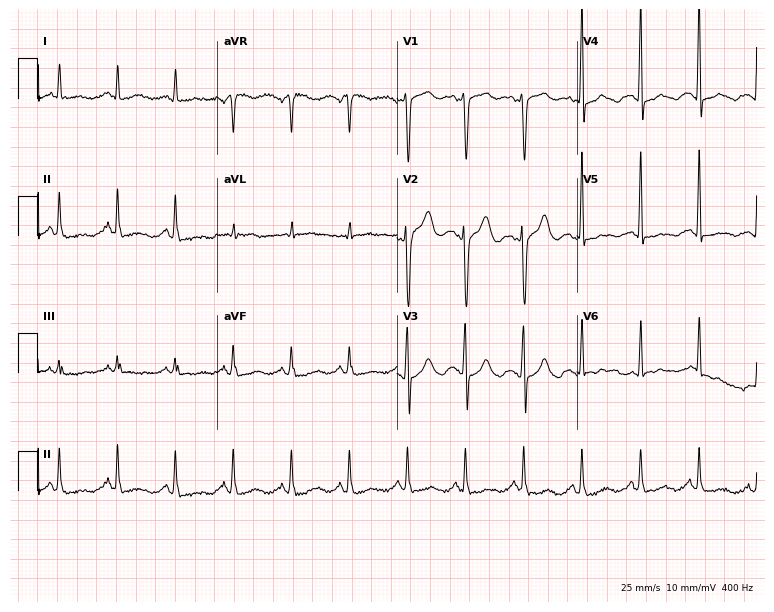
Electrocardiogram (7.3-second recording at 400 Hz), a female, 65 years old. Interpretation includes sinus tachycardia (a sinus rate of 100 beats per minute or more).